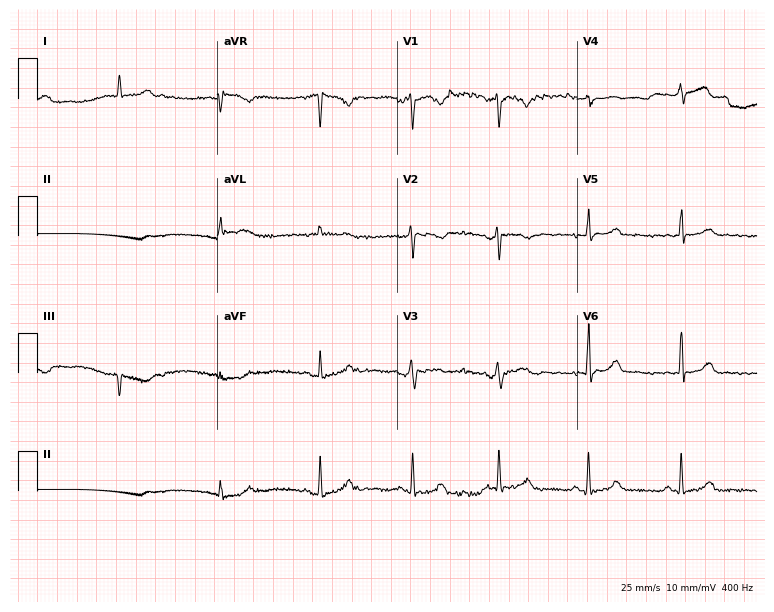
12-lead ECG from a 43-year-old female patient. Labelled as a normal ECG.